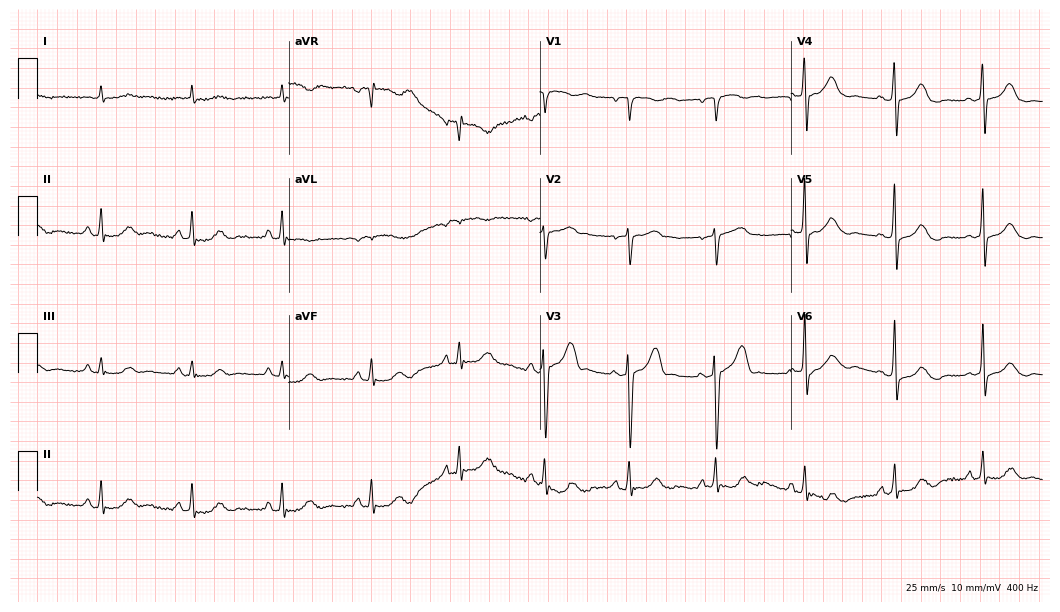
Resting 12-lead electrocardiogram. Patient: a man, 73 years old. None of these six findings is recorded: first-degree AV block, right bundle branch block, left bundle branch block, sinus bradycardia, atrial fibrillation, sinus tachycardia.